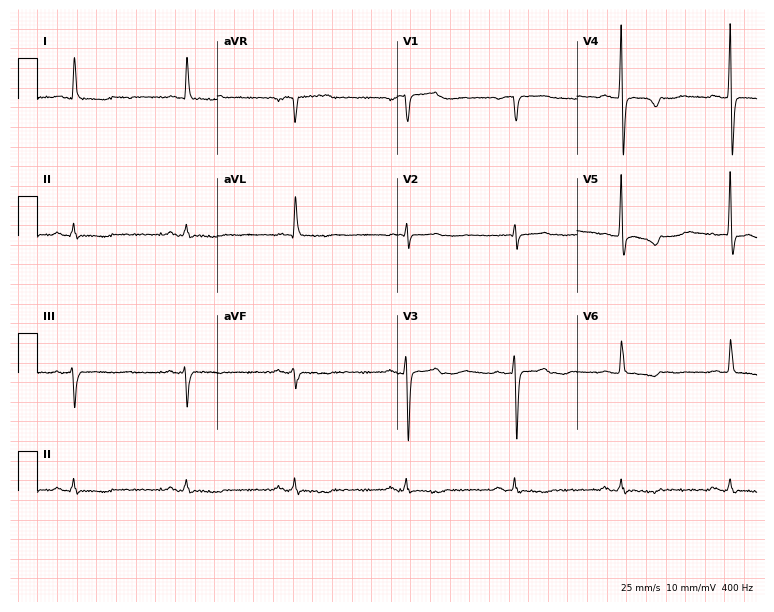
12-lead ECG (7.3-second recording at 400 Hz) from a 59-year-old woman. Screened for six findings — first-degree AV block, right bundle branch block, left bundle branch block, sinus bradycardia, atrial fibrillation, sinus tachycardia — none is recorded. Findings outside these six are not listed.